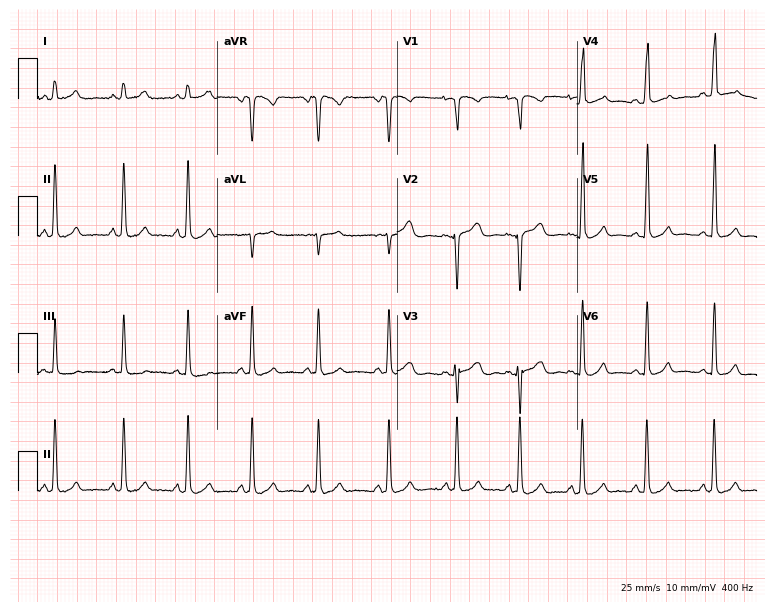
12-lead ECG from a 28-year-old female patient. Labelled as a normal ECG.